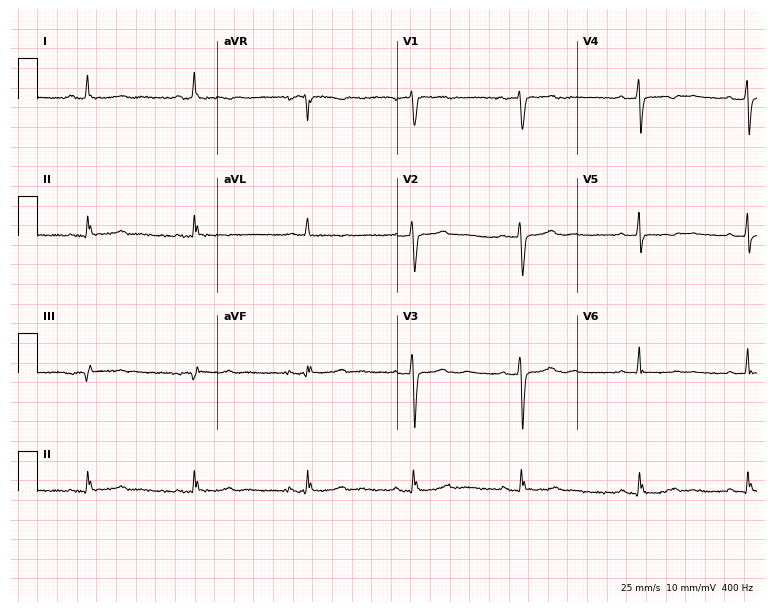
12-lead ECG from a woman, 58 years old (7.3-second recording at 400 Hz). No first-degree AV block, right bundle branch block, left bundle branch block, sinus bradycardia, atrial fibrillation or sinus tachycardia recorded for this tracing.